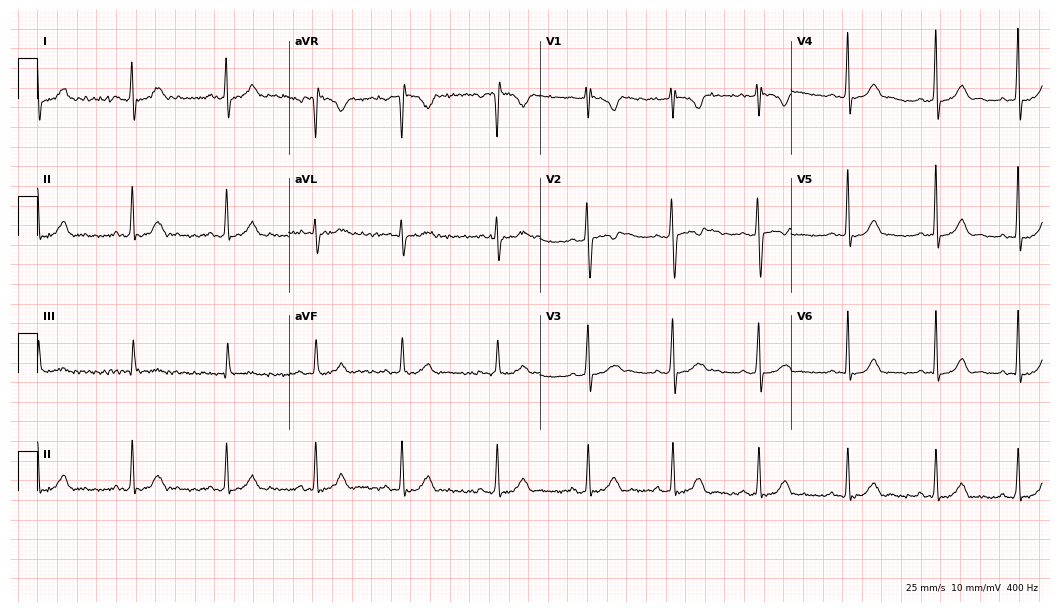
12-lead ECG (10.2-second recording at 400 Hz) from a woman, 27 years old. Labelled as a normal ECG.